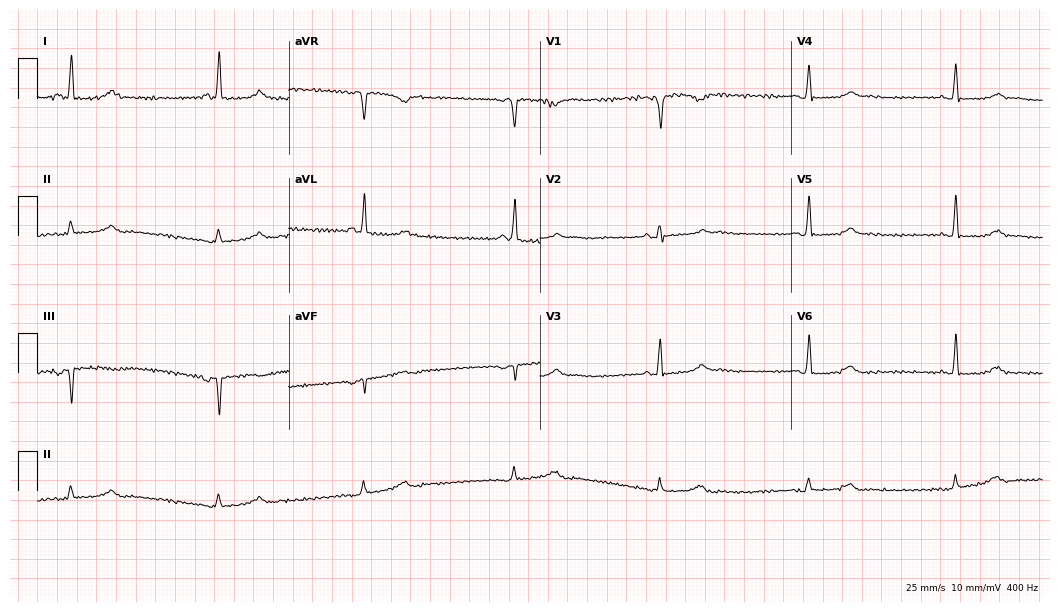
12-lead ECG from a 66-year-old woman. Shows sinus bradycardia (a sinus rate of 50 beats per minute or less).